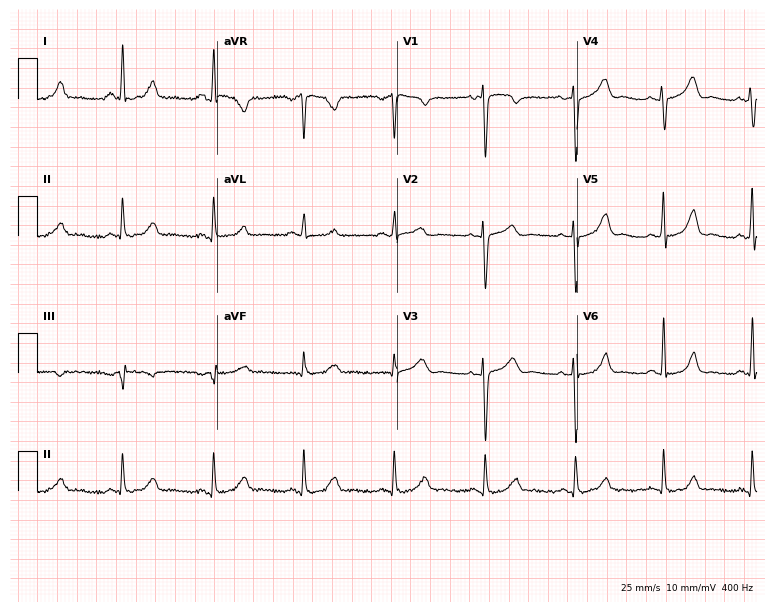
ECG — a woman, 44 years old. Screened for six findings — first-degree AV block, right bundle branch block, left bundle branch block, sinus bradycardia, atrial fibrillation, sinus tachycardia — none is recorded.